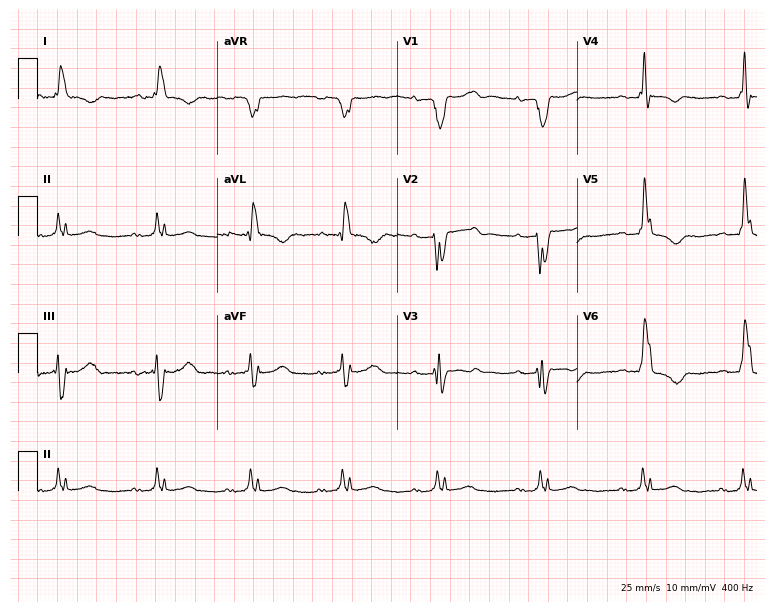
Electrocardiogram (7.3-second recording at 400 Hz), a female, 64 years old. Interpretation includes first-degree AV block, left bundle branch block.